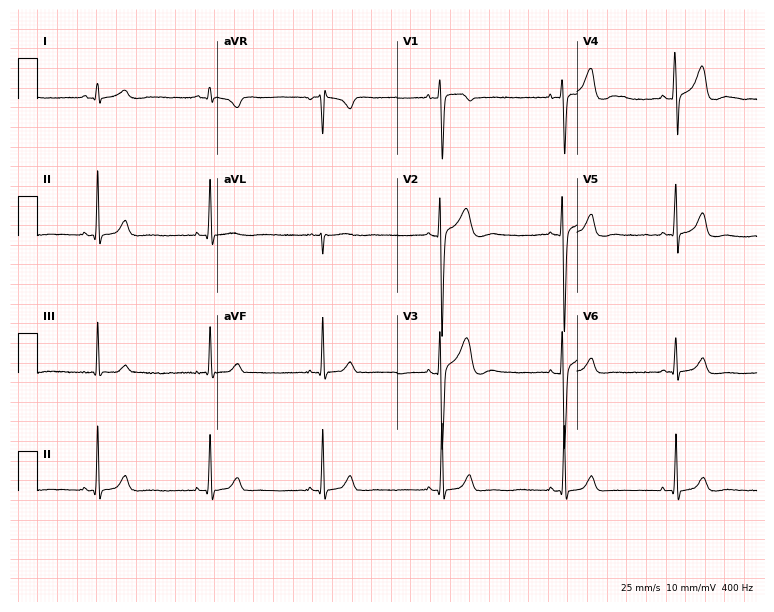
Standard 12-lead ECG recorded from a male patient, 17 years old (7.3-second recording at 400 Hz). Read as a normal ECG.